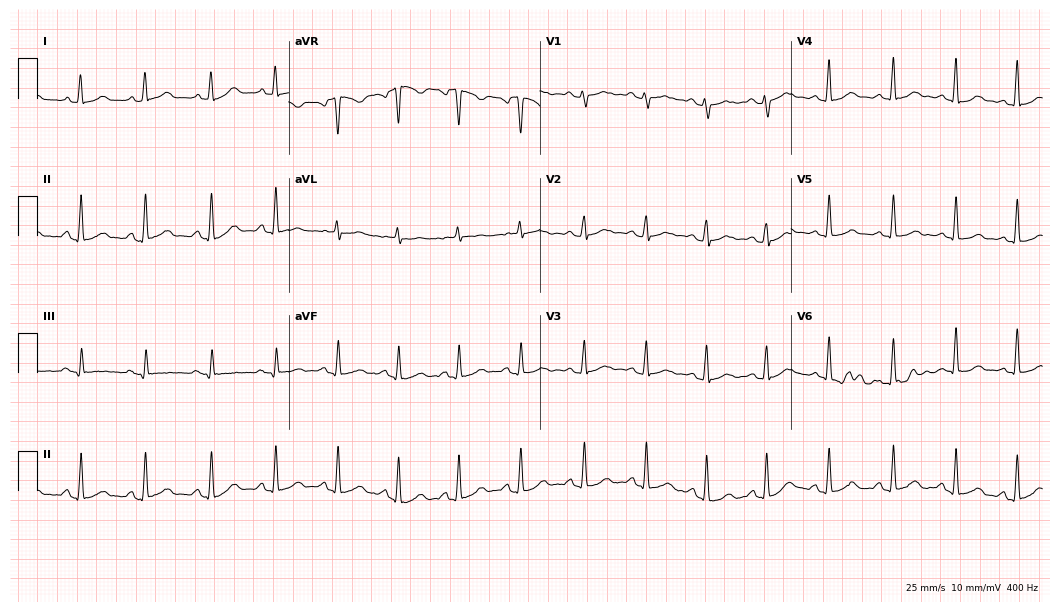
Electrocardiogram, an 18-year-old woman. Overall reading on record: normal ECG.